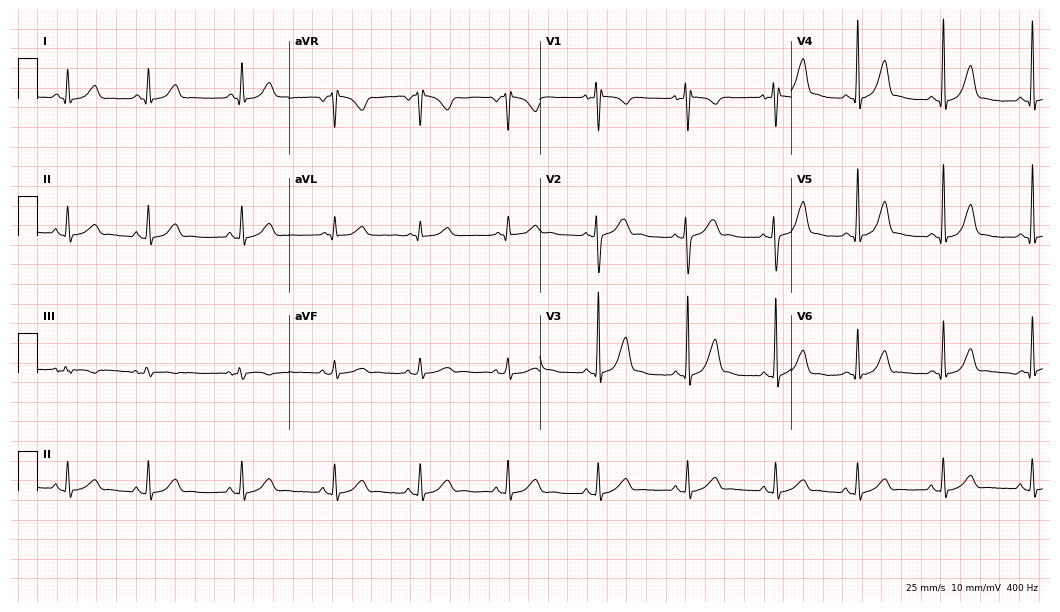
ECG (10.2-second recording at 400 Hz) — a female patient, 28 years old. Screened for six findings — first-degree AV block, right bundle branch block, left bundle branch block, sinus bradycardia, atrial fibrillation, sinus tachycardia — none is recorded. Other findings, if any, are not listed.